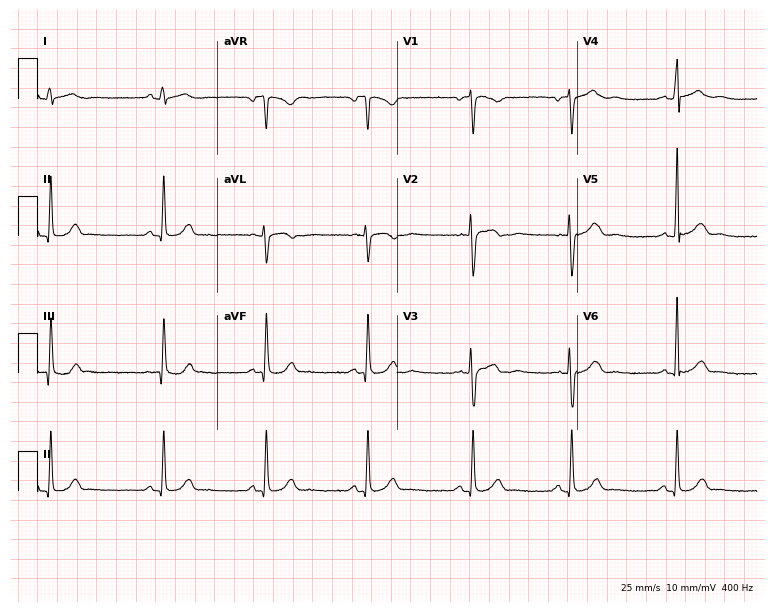
Standard 12-lead ECG recorded from a 29-year-old woman. Read as a normal ECG.